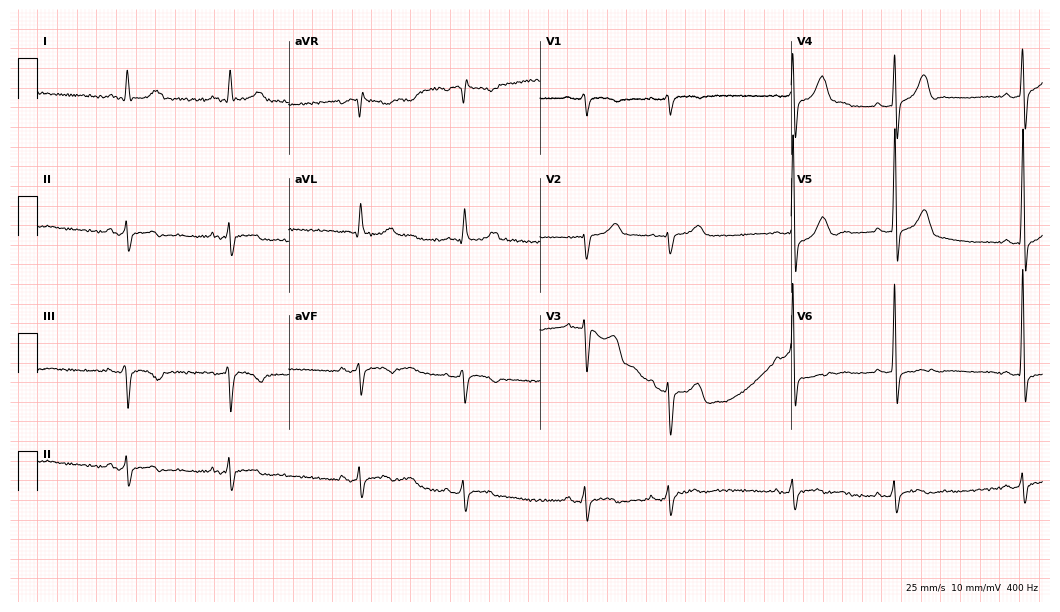
12-lead ECG (10.2-second recording at 400 Hz) from a man, 85 years old. Screened for six findings — first-degree AV block, right bundle branch block, left bundle branch block, sinus bradycardia, atrial fibrillation, sinus tachycardia — none is recorded.